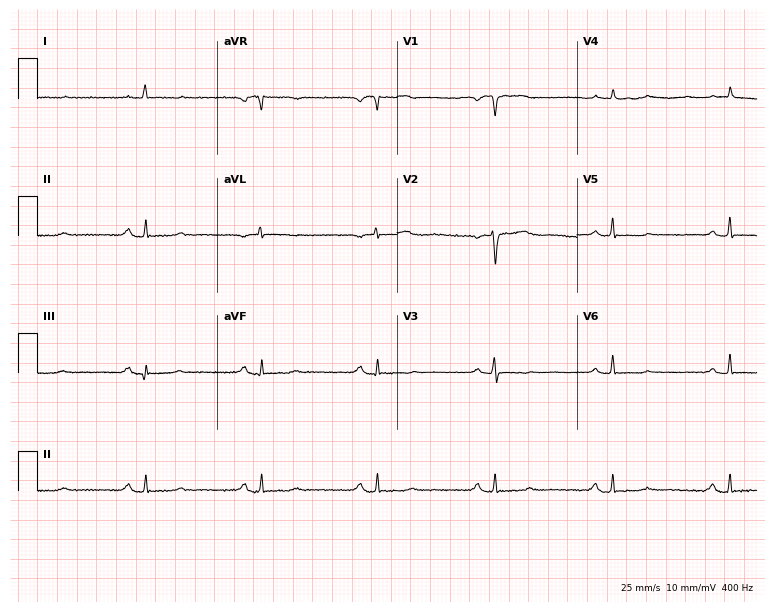
12-lead ECG from a 62-year-old female patient. No first-degree AV block, right bundle branch block, left bundle branch block, sinus bradycardia, atrial fibrillation or sinus tachycardia recorded for this tracing.